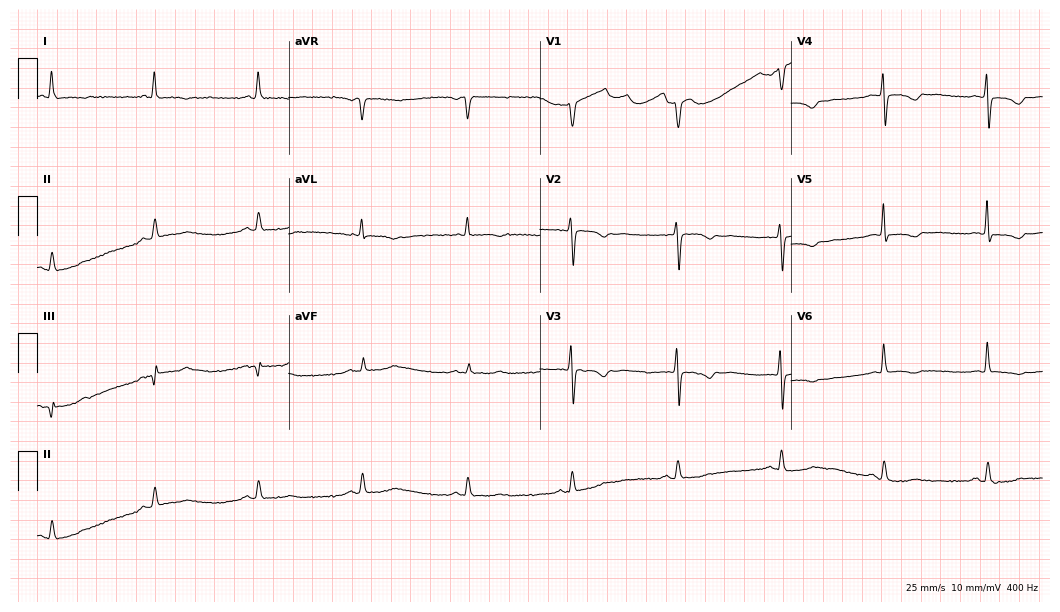
Electrocardiogram, a 65-year-old woman. Of the six screened findings (first-degree AV block, right bundle branch block, left bundle branch block, sinus bradycardia, atrial fibrillation, sinus tachycardia), none is recorded. Only these six findings were labelled.